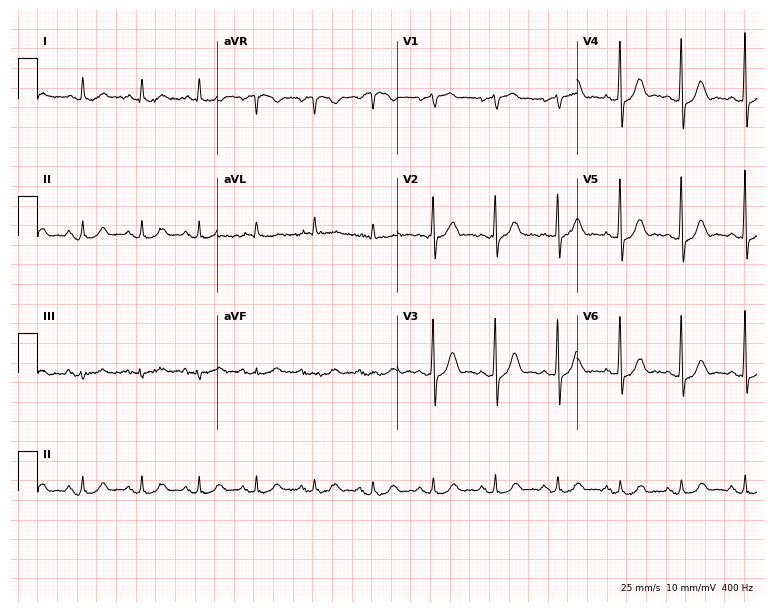
Standard 12-lead ECG recorded from an 85-year-old male patient. None of these six findings is recorded: first-degree AV block, right bundle branch block, left bundle branch block, sinus bradycardia, atrial fibrillation, sinus tachycardia. Only these six findings were labelled.